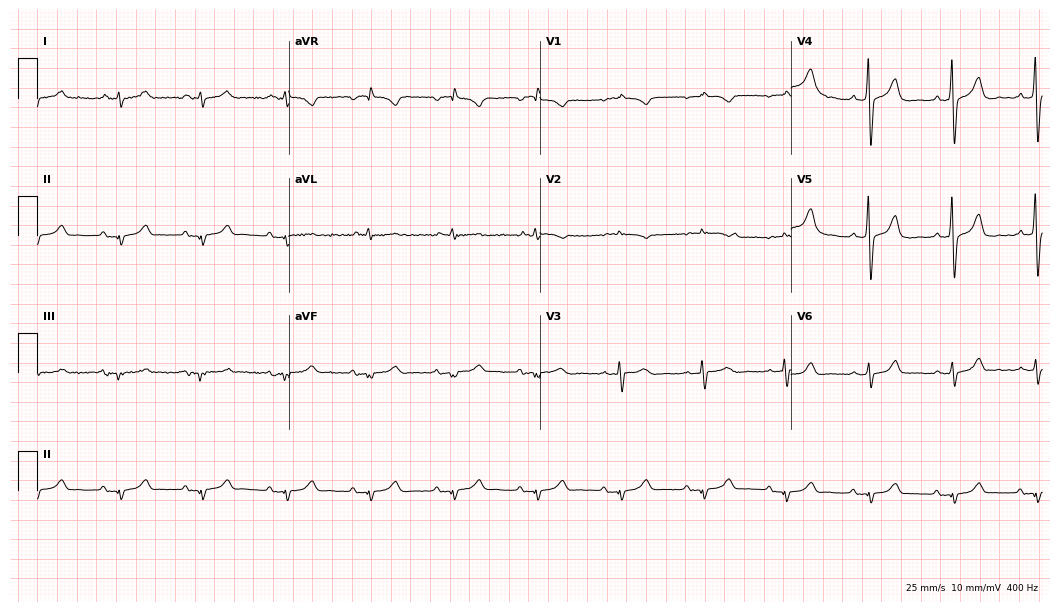
12-lead ECG (10.2-second recording at 400 Hz) from a 64-year-old male. Screened for six findings — first-degree AV block, right bundle branch block, left bundle branch block, sinus bradycardia, atrial fibrillation, sinus tachycardia — none is recorded.